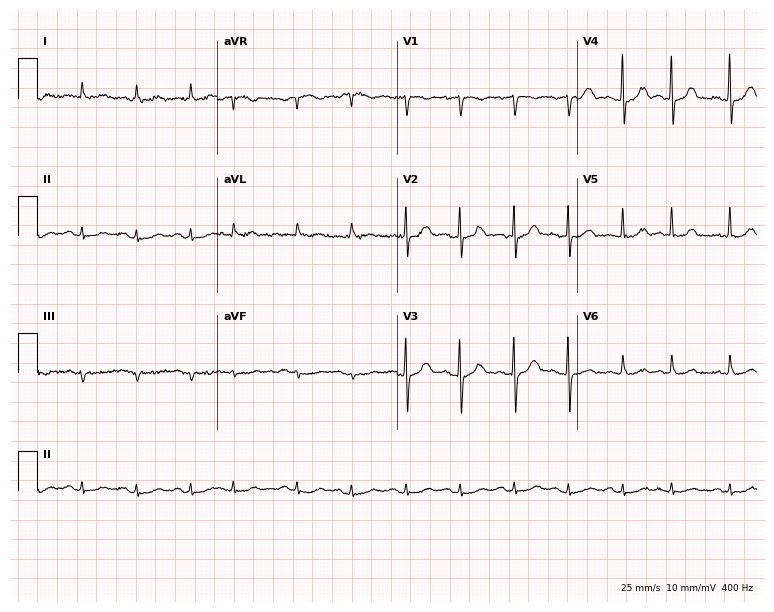
12-lead ECG from a woman, 83 years old. Screened for six findings — first-degree AV block, right bundle branch block (RBBB), left bundle branch block (LBBB), sinus bradycardia, atrial fibrillation (AF), sinus tachycardia — none is recorded.